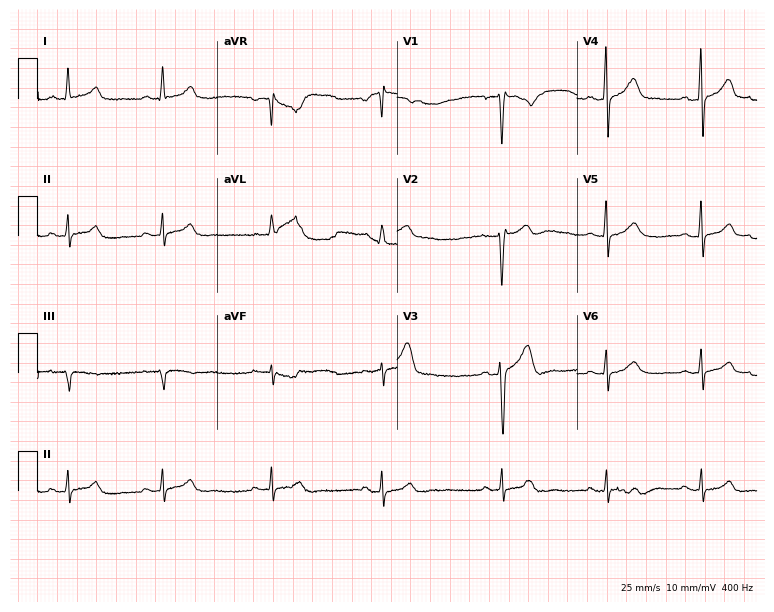
12-lead ECG from a 45-year-old man. Screened for six findings — first-degree AV block, right bundle branch block, left bundle branch block, sinus bradycardia, atrial fibrillation, sinus tachycardia — none is recorded. Findings outside these six are not listed.